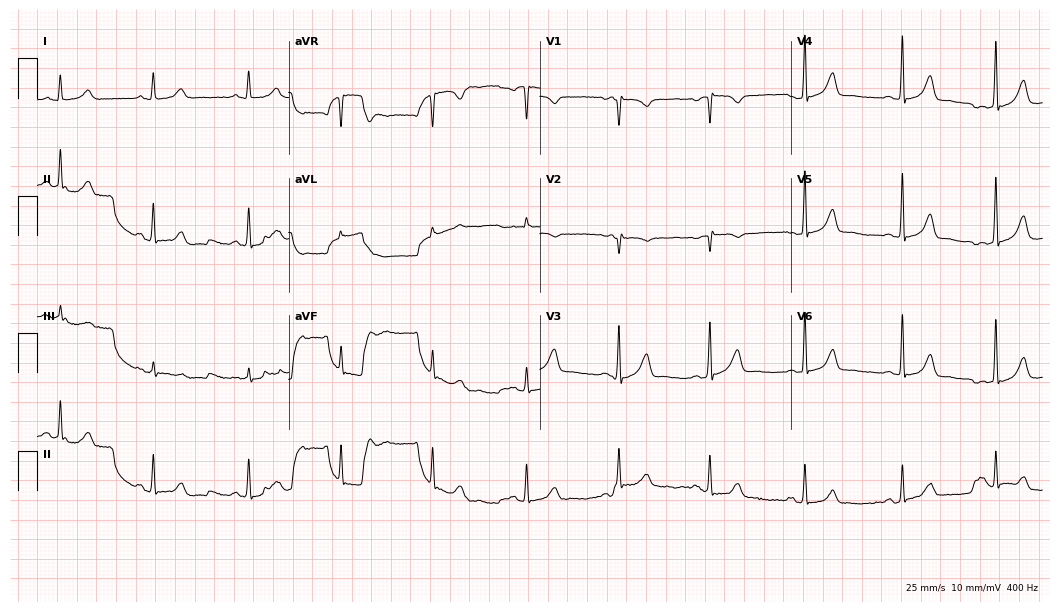
Resting 12-lead electrocardiogram. Patient: a female, 50 years old. None of these six findings is recorded: first-degree AV block, right bundle branch block, left bundle branch block, sinus bradycardia, atrial fibrillation, sinus tachycardia. Other findings, if any, are not listed.